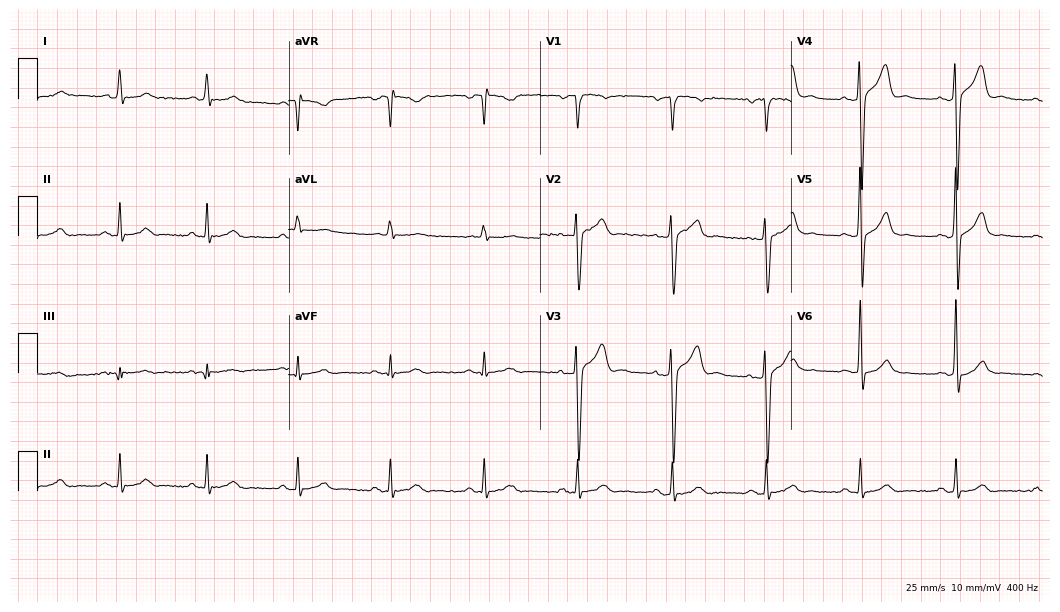
Resting 12-lead electrocardiogram (10.2-second recording at 400 Hz). Patient: a woman, 70 years old. Read as a normal ECG.